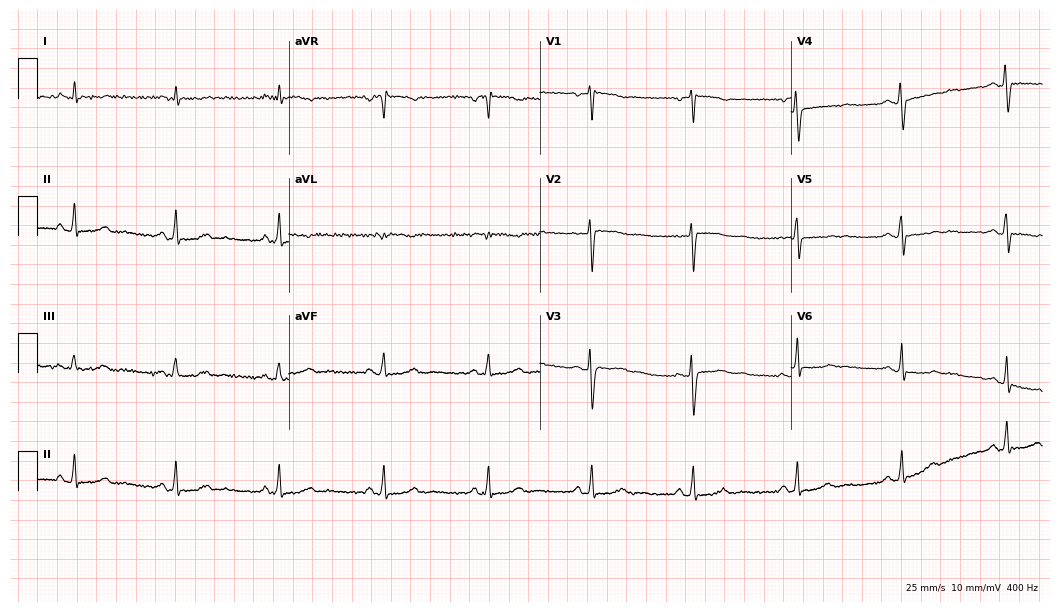
Resting 12-lead electrocardiogram (10.2-second recording at 400 Hz). Patient: a female, 46 years old. None of these six findings is recorded: first-degree AV block, right bundle branch block, left bundle branch block, sinus bradycardia, atrial fibrillation, sinus tachycardia.